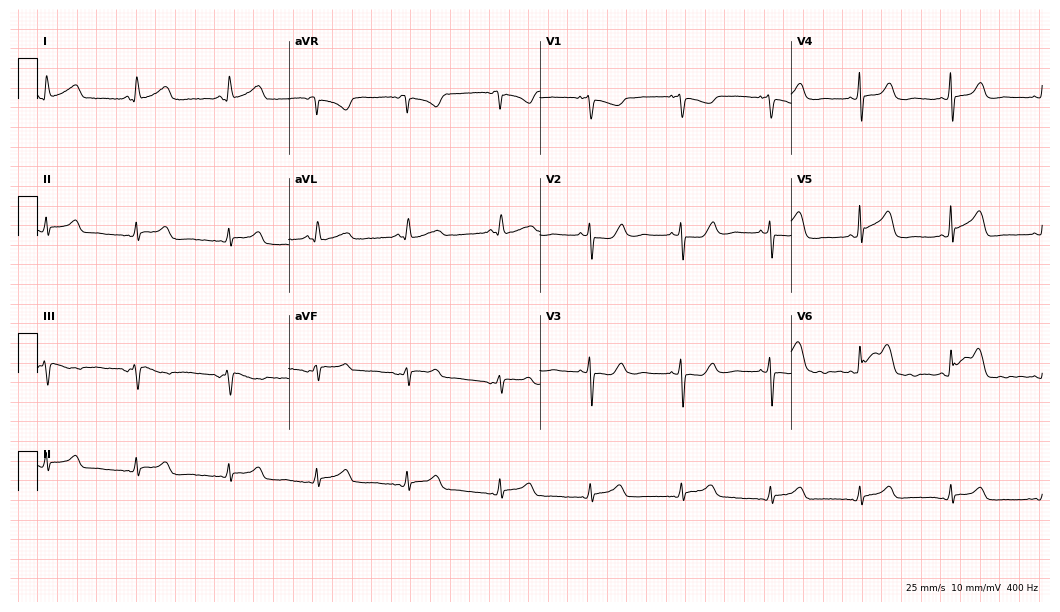
ECG — a 76-year-old female patient. Screened for six findings — first-degree AV block, right bundle branch block (RBBB), left bundle branch block (LBBB), sinus bradycardia, atrial fibrillation (AF), sinus tachycardia — none is recorded.